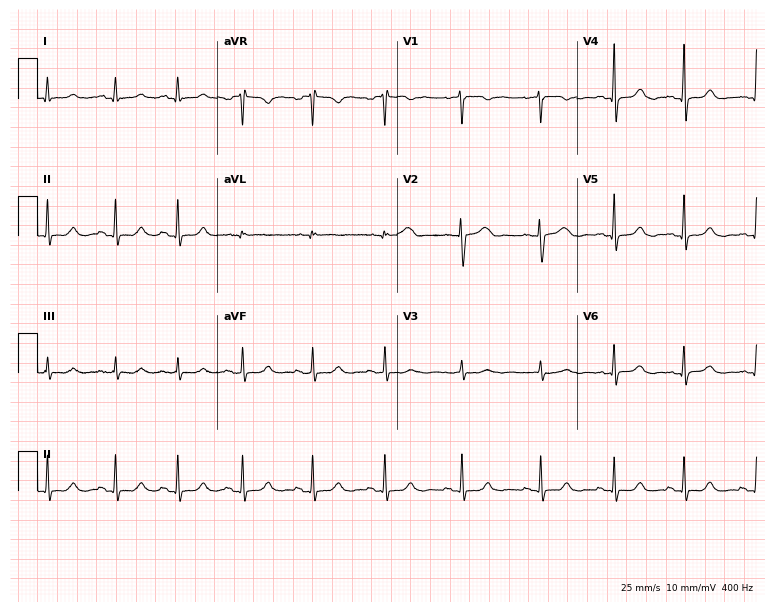
12-lead ECG from a female, 34 years old. Recorded interpretation: within normal limits.